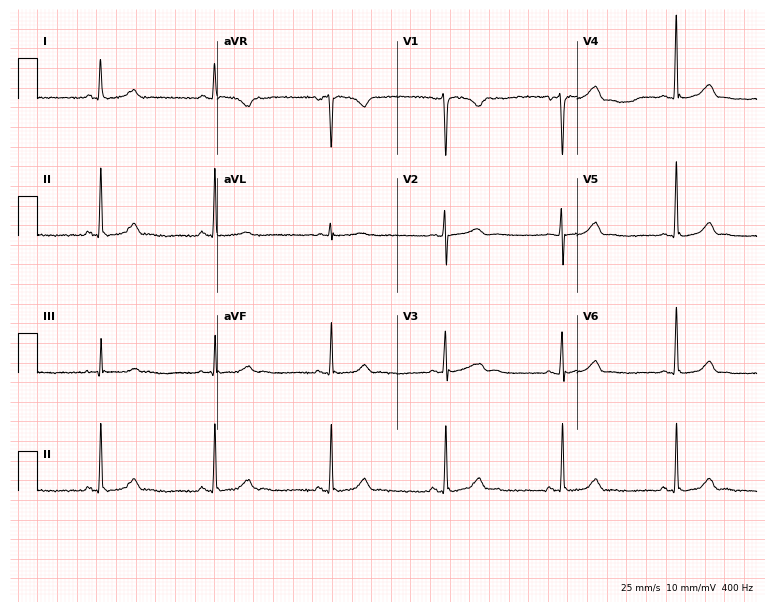
ECG (7.3-second recording at 400 Hz) — a female, 41 years old. Screened for six findings — first-degree AV block, right bundle branch block (RBBB), left bundle branch block (LBBB), sinus bradycardia, atrial fibrillation (AF), sinus tachycardia — none is recorded. Findings outside these six are not listed.